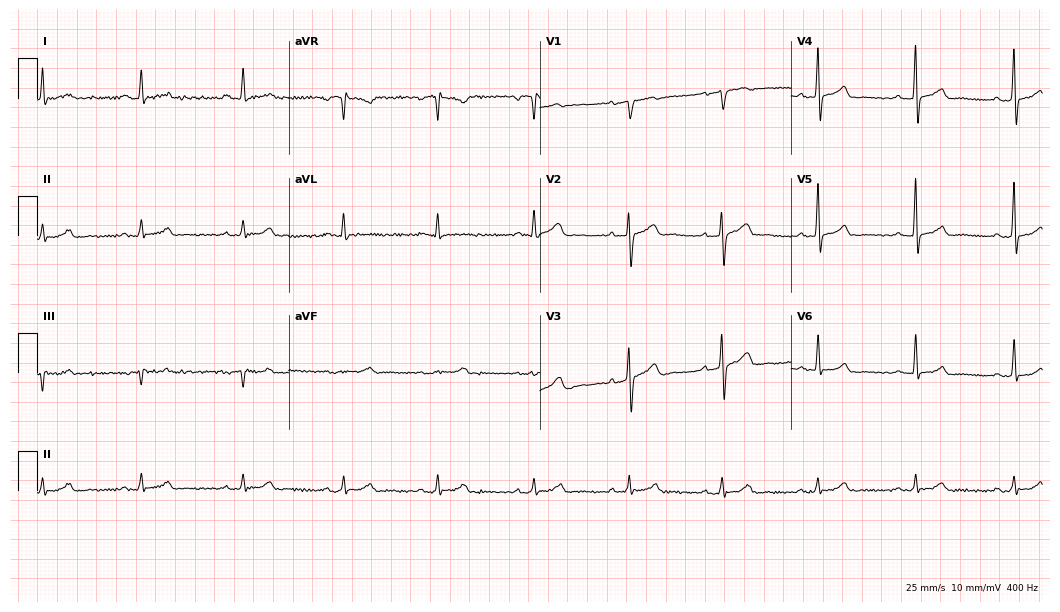
ECG — a 50-year-old man. Labelled as a normal ECG.